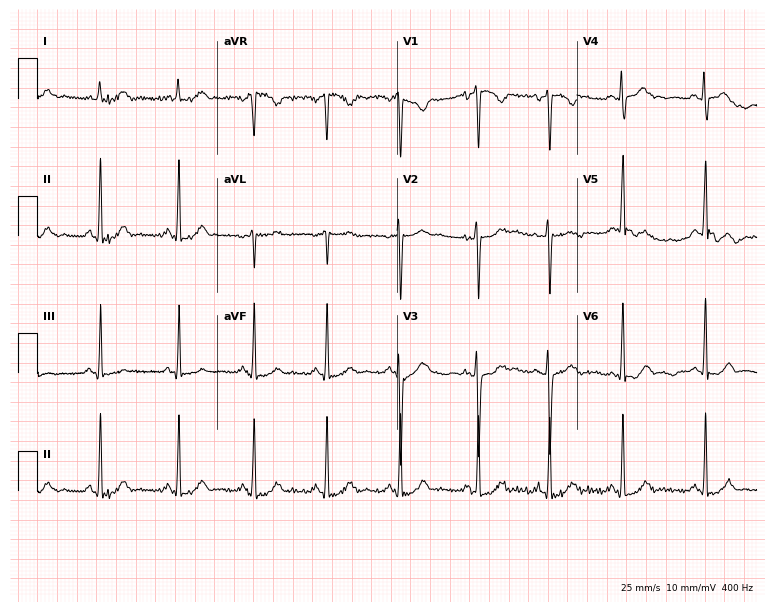
ECG (7.3-second recording at 400 Hz) — a female patient, 29 years old. Labelled as a normal ECG.